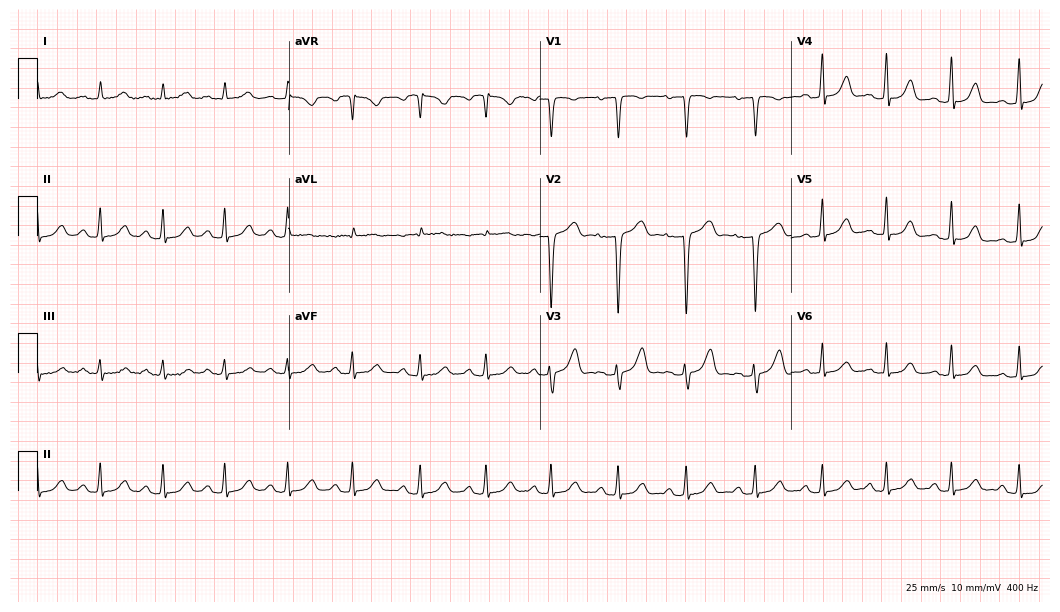
Standard 12-lead ECG recorded from a female patient, 33 years old. The tracing shows first-degree AV block.